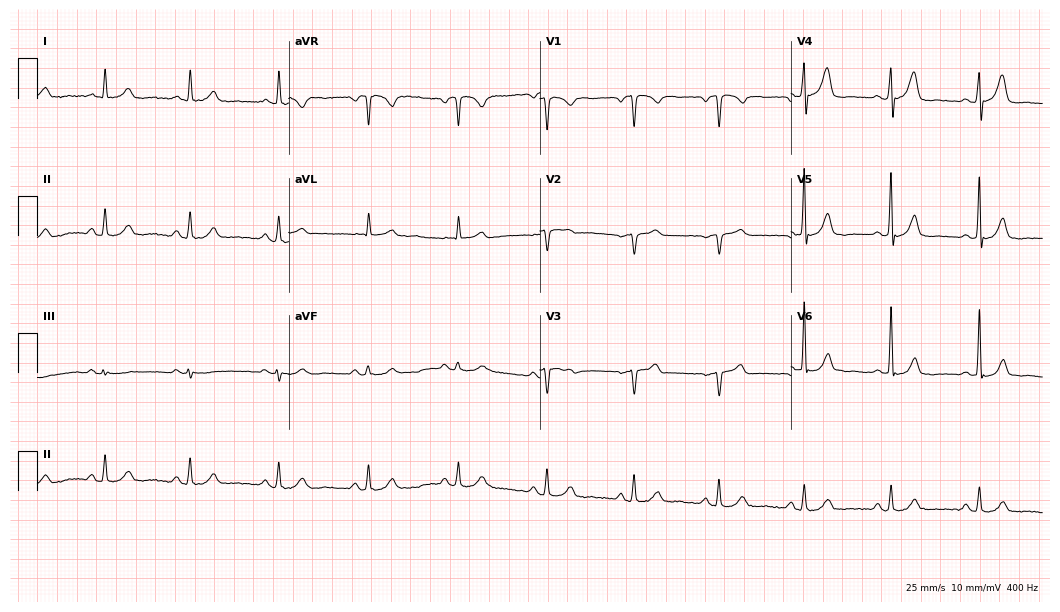
Standard 12-lead ECG recorded from a man, 44 years old (10.2-second recording at 400 Hz). None of these six findings is recorded: first-degree AV block, right bundle branch block (RBBB), left bundle branch block (LBBB), sinus bradycardia, atrial fibrillation (AF), sinus tachycardia.